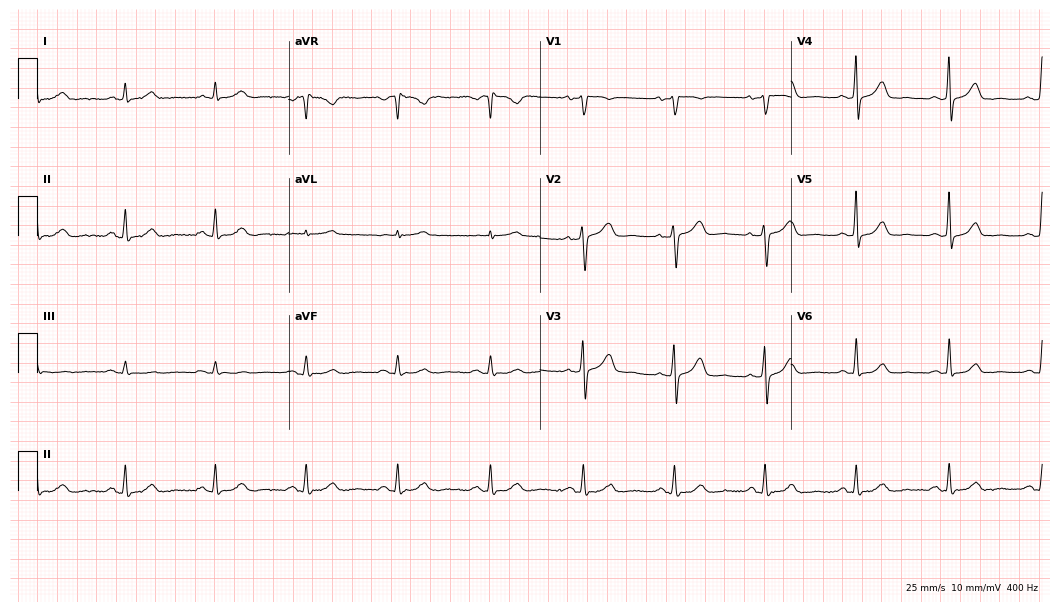
12-lead ECG from a female, 55 years old. Recorded interpretation: within normal limits.